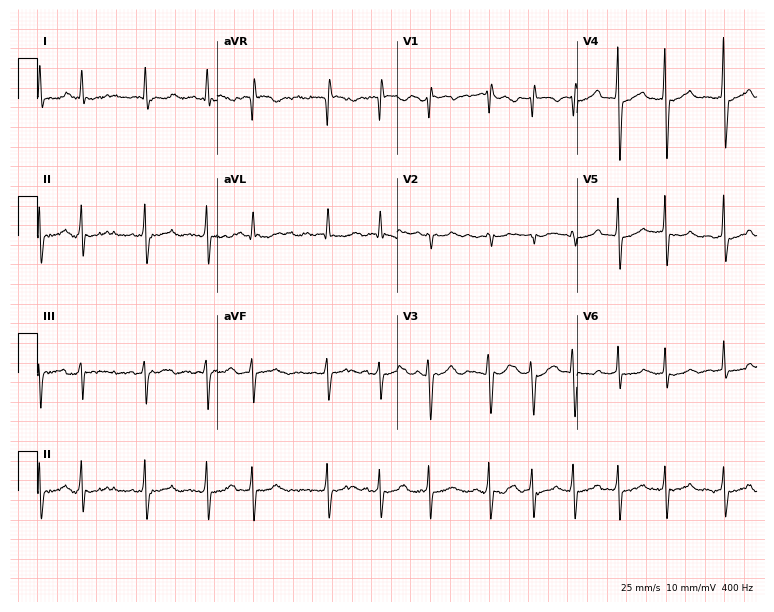
Standard 12-lead ECG recorded from a 78-year-old woman (7.3-second recording at 400 Hz). The tracing shows atrial fibrillation.